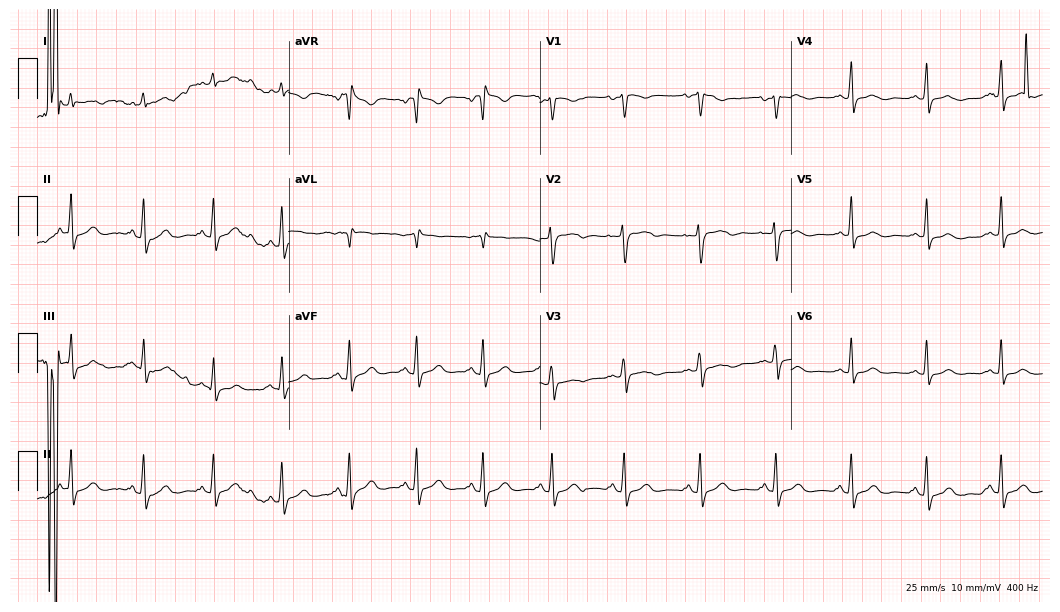
Electrocardiogram (10.2-second recording at 400 Hz), a female patient, 44 years old. Overall reading on record: normal ECG.